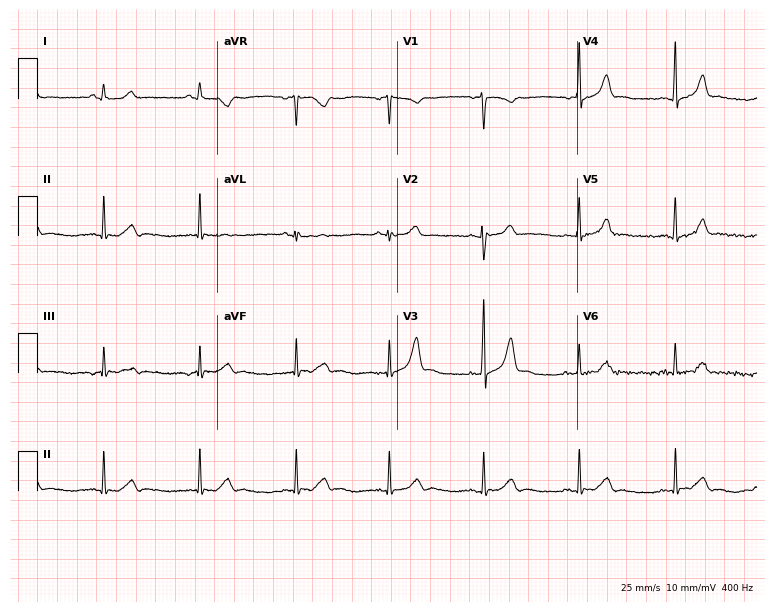
Resting 12-lead electrocardiogram (7.3-second recording at 400 Hz). Patient: a 39-year-old female. Read as a normal ECG.